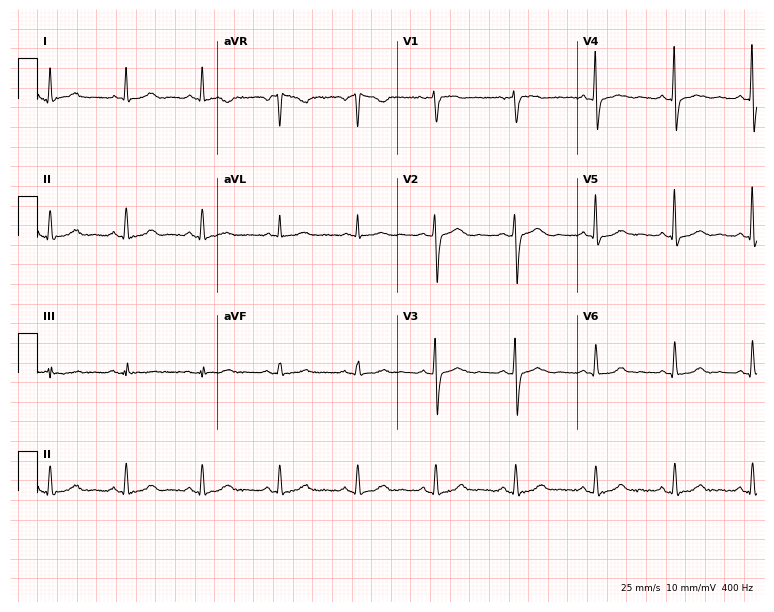
Standard 12-lead ECG recorded from a female patient, 53 years old (7.3-second recording at 400 Hz). None of these six findings is recorded: first-degree AV block, right bundle branch block (RBBB), left bundle branch block (LBBB), sinus bradycardia, atrial fibrillation (AF), sinus tachycardia.